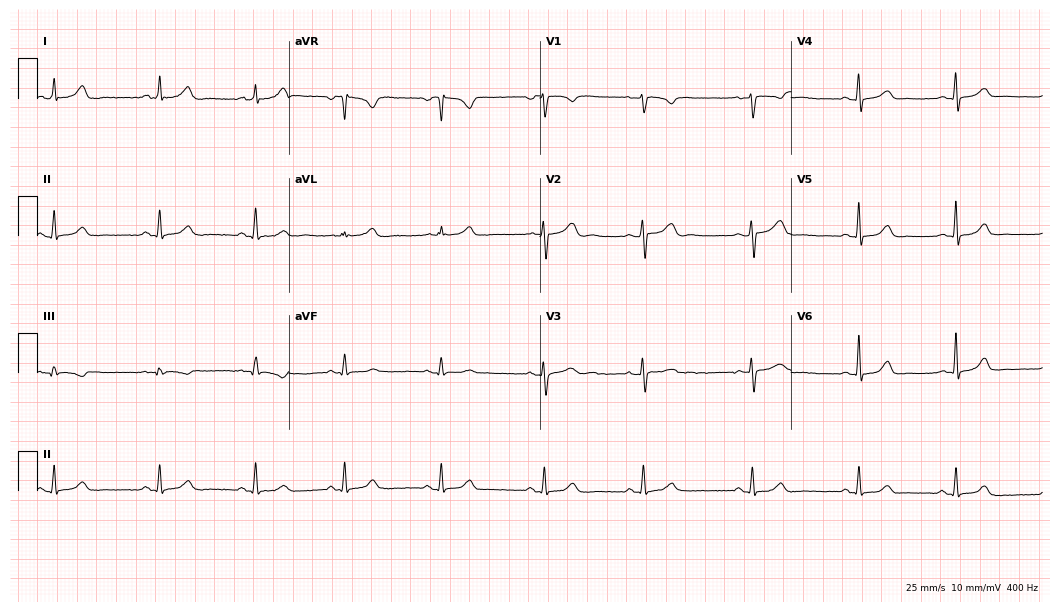
Electrocardiogram (10.2-second recording at 400 Hz), a female patient, 42 years old. Overall reading on record: normal ECG.